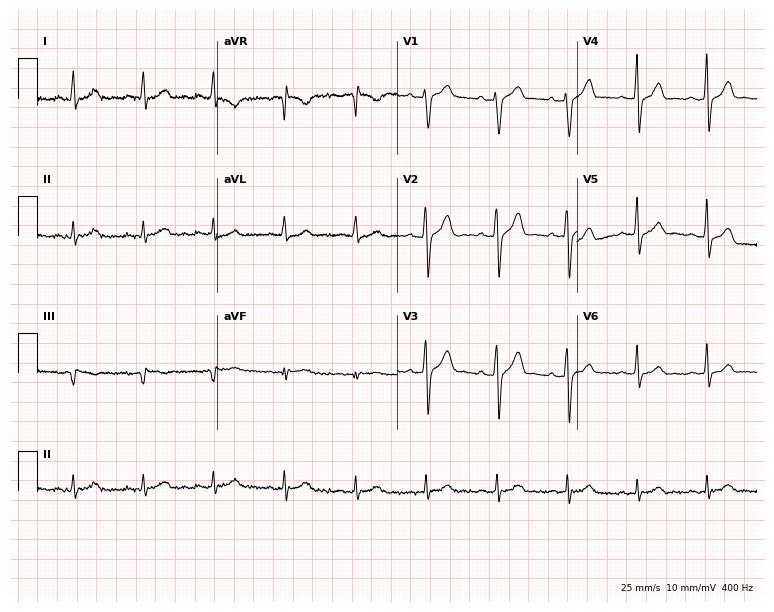
Resting 12-lead electrocardiogram (7.3-second recording at 400 Hz). Patient: a man, 59 years old. Read as a normal ECG.